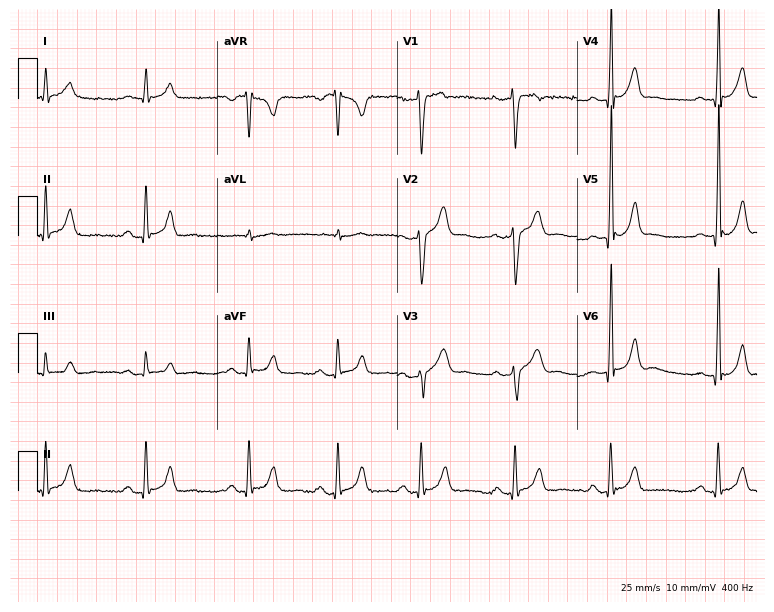
Resting 12-lead electrocardiogram (7.3-second recording at 400 Hz). Patient: a male, 25 years old. Read as a normal ECG.